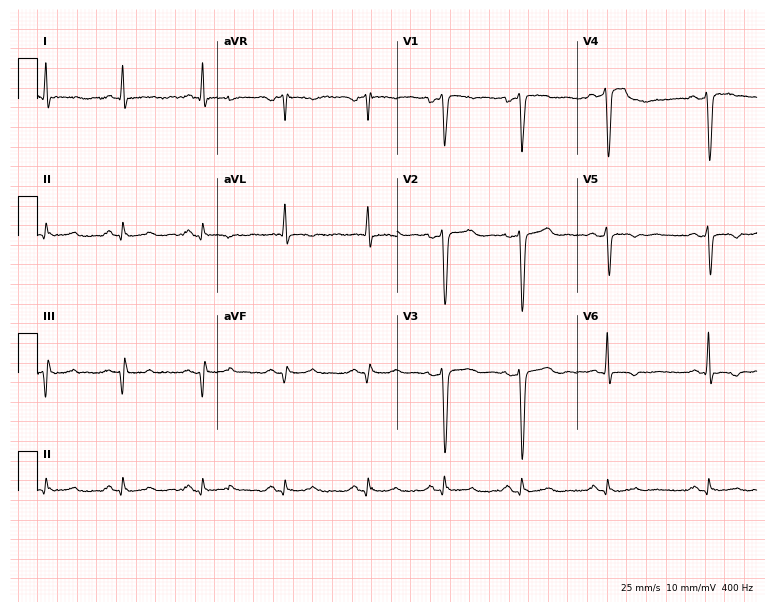
ECG — a 38-year-old man. Screened for six findings — first-degree AV block, right bundle branch block, left bundle branch block, sinus bradycardia, atrial fibrillation, sinus tachycardia — none is recorded.